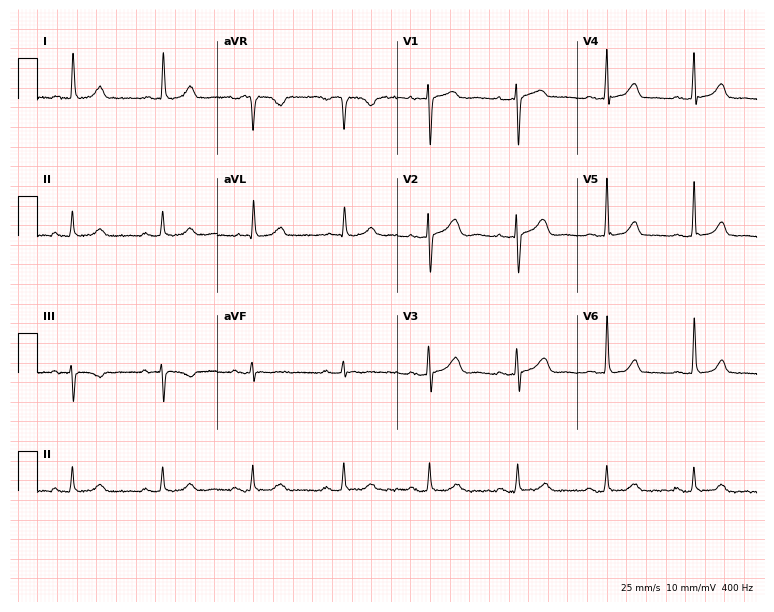
Standard 12-lead ECG recorded from a female, 65 years old (7.3-second recording at 400 Hz). Read as a normal ECG.